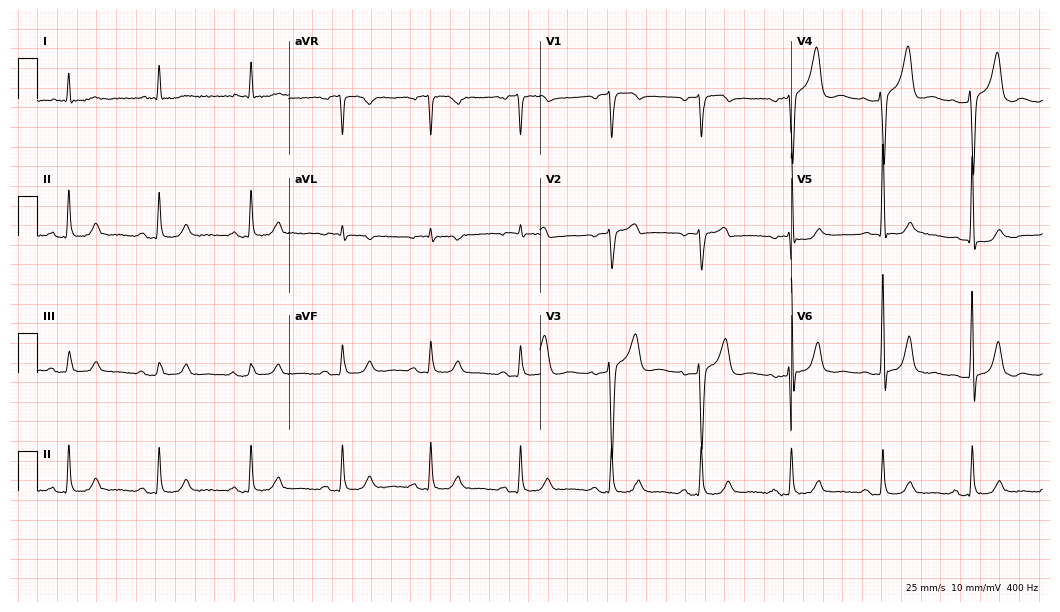
12-lead ECG (10.2-second recording at 400 Hz) from a male patient, 59 years old. Screened for six findings — first-degree AV block, right bundle branch block, left bundle branch block, sinus bradycardia, atrial fibrillation, sinus tachycardia — none is recorded.